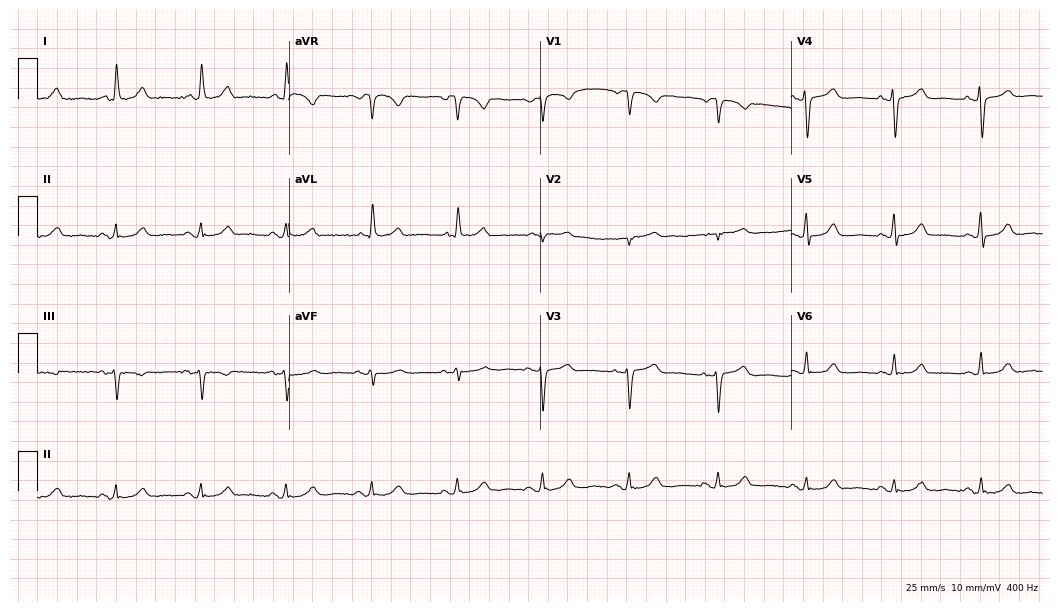
Standard 12-lead ECG recorded from a 67-year-old woman (10.2-second recording at 400 Hz). None of these six findings is recorded: first-degree AV block, right bundle branch block, left bundle branch block, sinus bradycardia, atrial fibrillation, sinus tachycardia. Other findings, if any, are not listed.